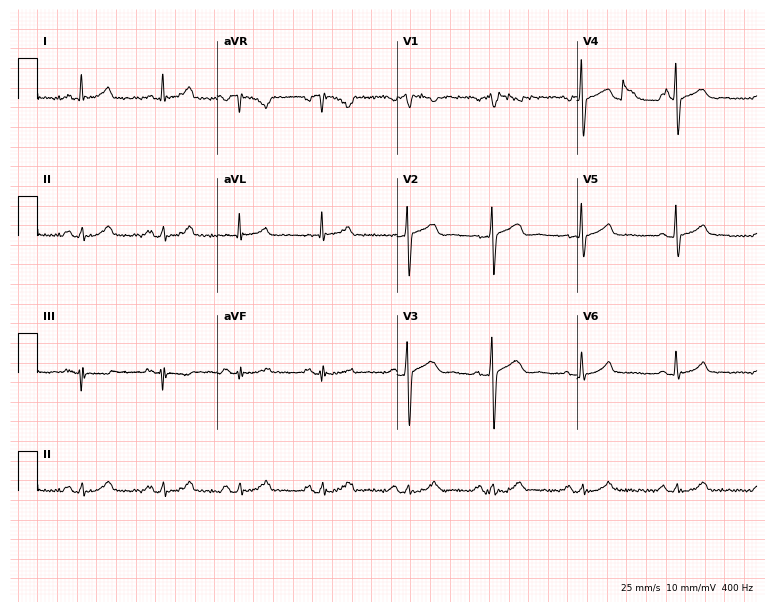
12-lead ECG (7.3-second recording at 400 Hz) from a male patient, 46 years old. Labelled as a normal ECG.